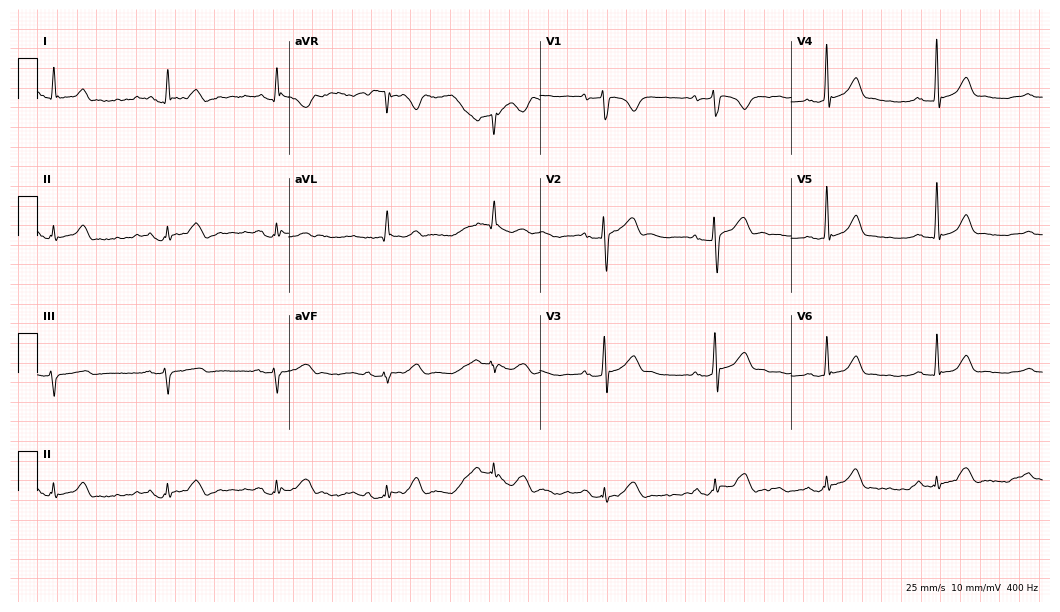
Resting 12-lead electrocardiogram. Patient: a 40-year-old man. None of these six findings is recorded: first-degree AV block, right bundle branch block, left bundle branch block, sinus bradycardia, atrial fibrillation, sinus tachycardia. Only these six findings were labelled.